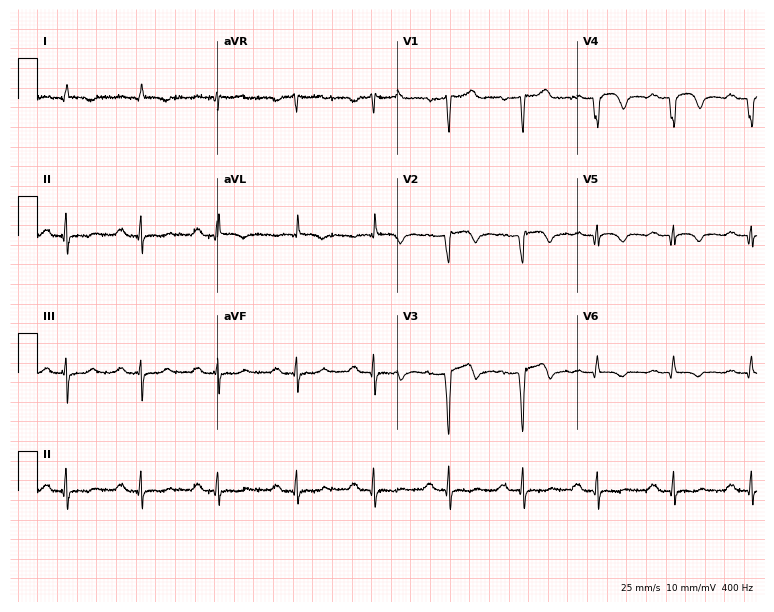
12-lead ECG from a male, 66 years old. Shows first-degree AV block.